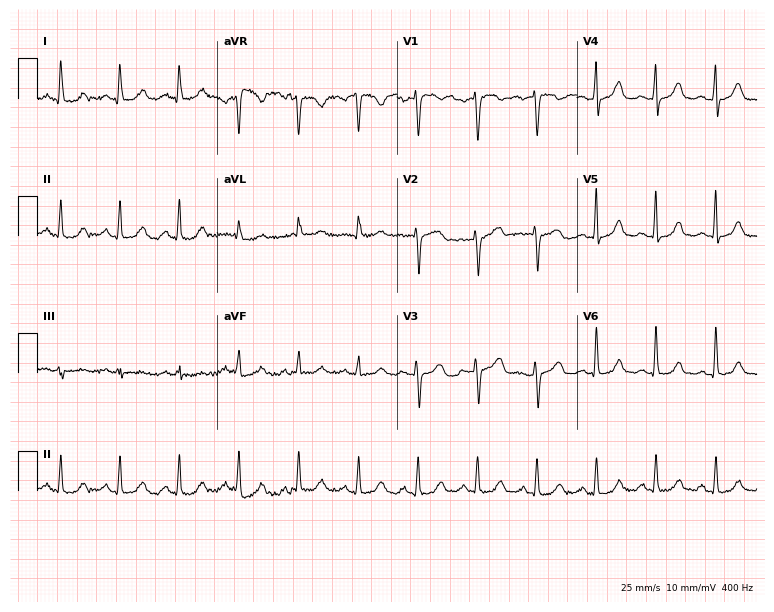
Electrocardiogram, a female patient, 53 years old. Of the six screened findings (first-degree AV block, right bundle branch block (RBBB), left bundle branch block (LBBB), sinus bradycardia, atrial fibrillation (AF), sinus tachycardia), none is recorded. Other findings, if any, are not listed.